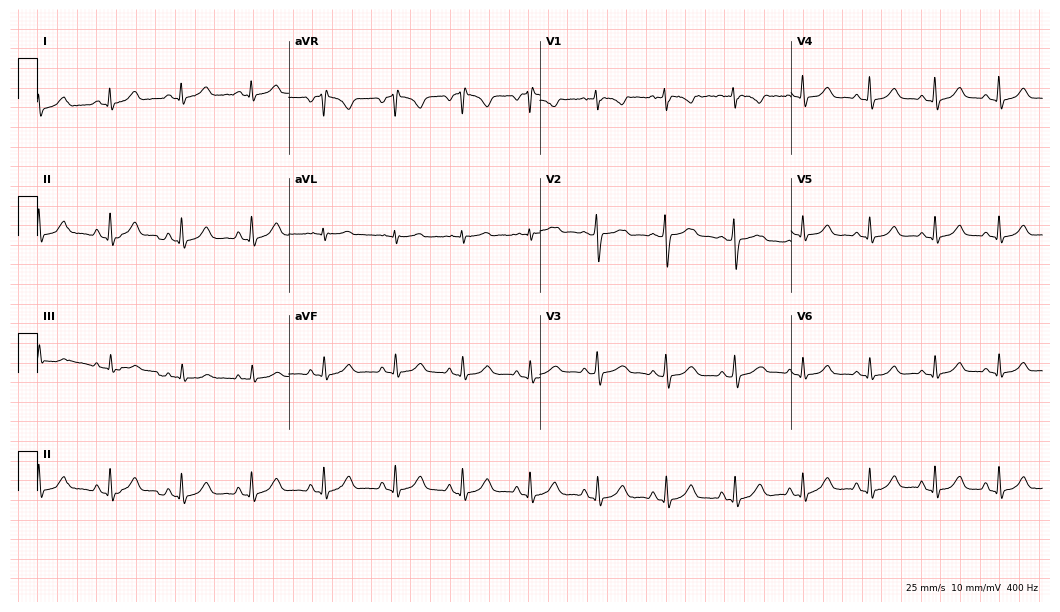
Standard 12-lead ECG recorded from a 28-year-old woman. Read as a normal ECG.